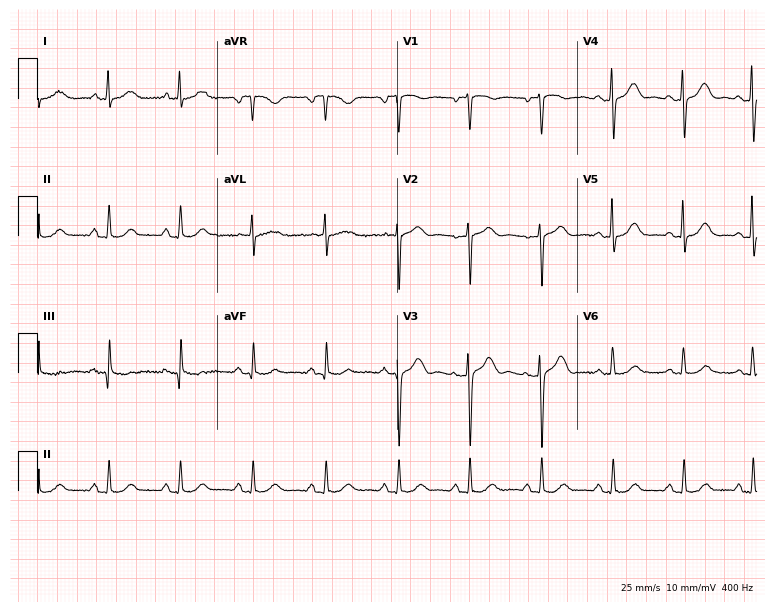
Standard 12-lead ECG recorded from a woman, 55 years old. None of these six findings is recorded: first-degree AV block, right bundle branch block (RBBB), left bundle branch block (LBBB), sinus bradycardia, atrial fibrillation (AF), sinus tachycardia.